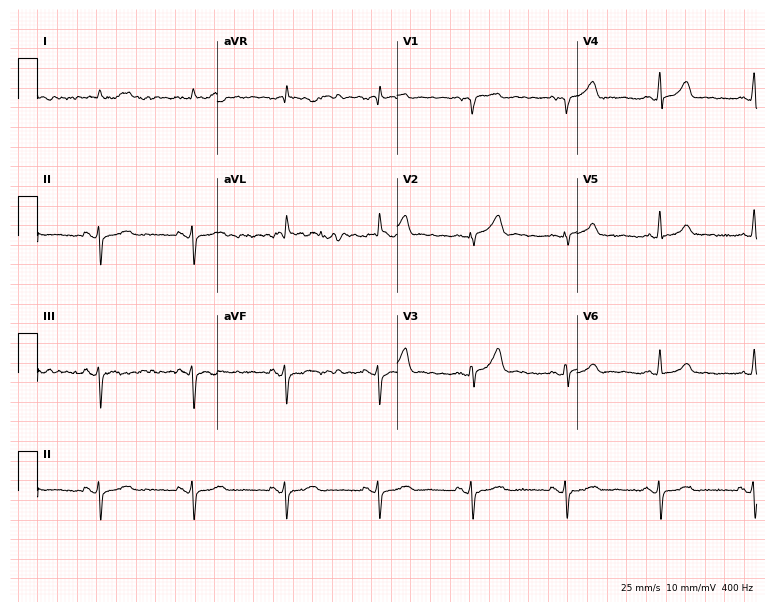
Electrocardiogram (7.3-second recording at 400 Hz), a male, 83 years old. Of the six screened findings (first-degree AV block, right bundle branch block, left bundle branch block, sinus bradycardia, atrial fibrillation, sinus tachycardia), none is recorded.